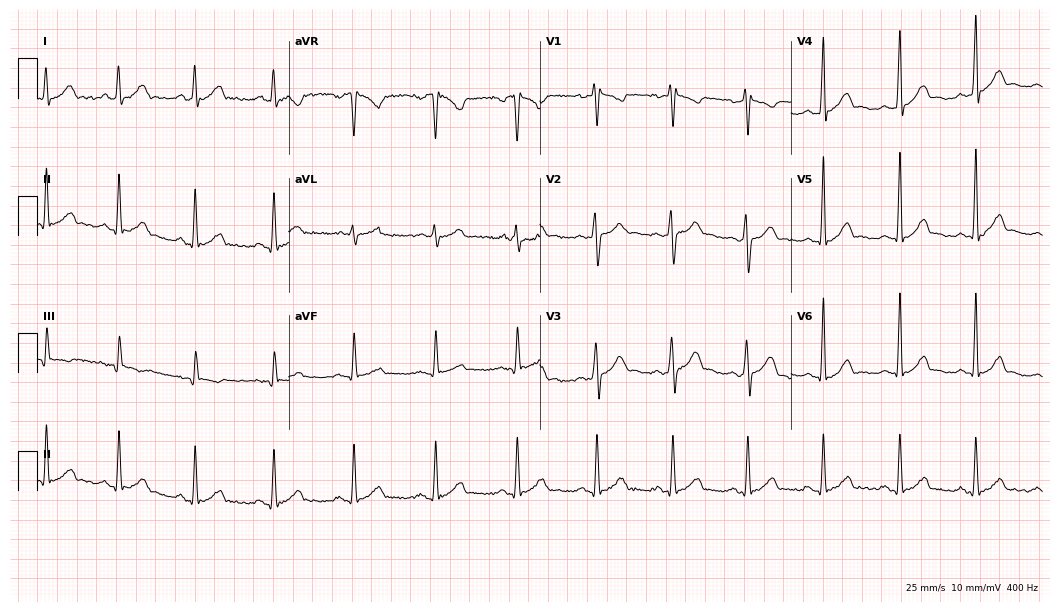
12-lead ECG from a 31-year-old male patient. Recorded interpretation: within normal limits.